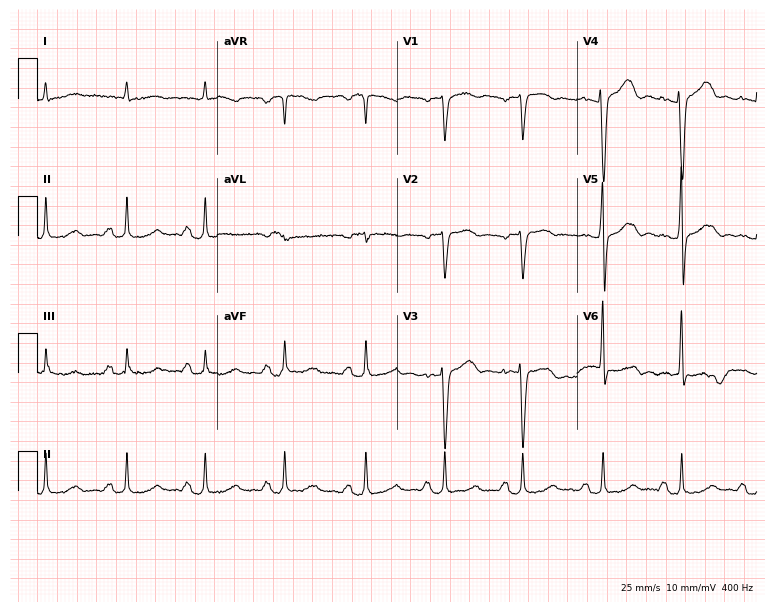
ECG — a male patient, 84 years old. Screened for six findings — first-degree AV block, right bundle branch block, left bundle branch block, sinus bradycardia, atrial fibrillation, sinus tachycardia — none is recorded. Findings outside these six are not listed.